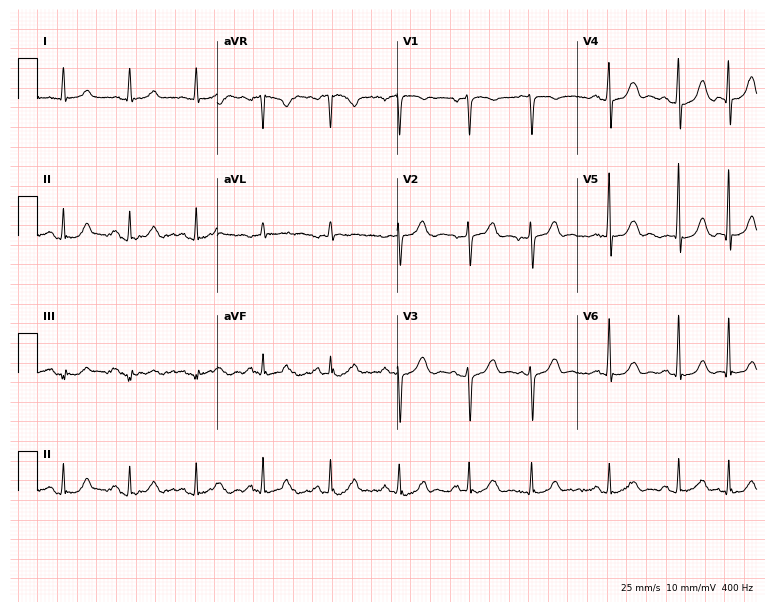
Standard 12-lead ECG recorded from a 78-year-old female. Read as a normal ECG.